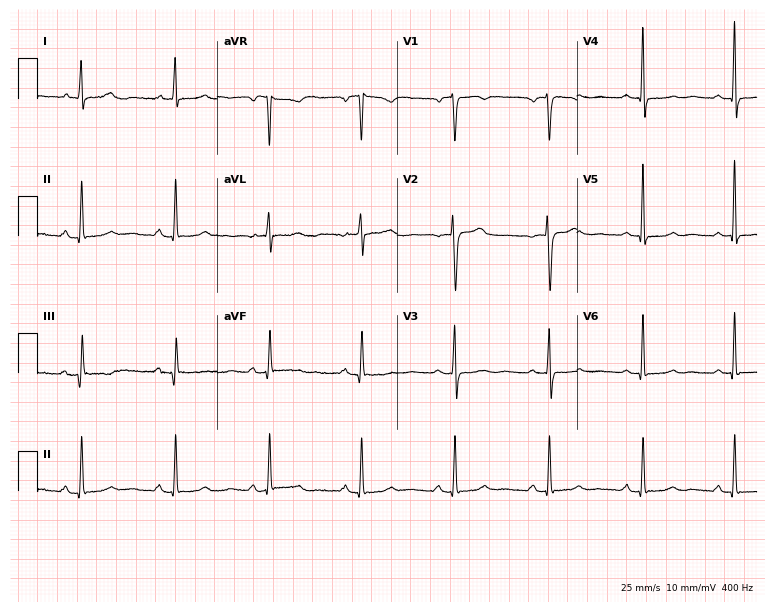
Resting 12-lead electrocardiogram (7.3-second recording at 400 Hz). Patient: a female, 67 years old. None of these six findings is recorded: first-degree AV block, right bundle branch block, left bundle branch block, sinus bradycardia, atrial fibrillation, sinus tachycardia. Findings outside these six are not listed.